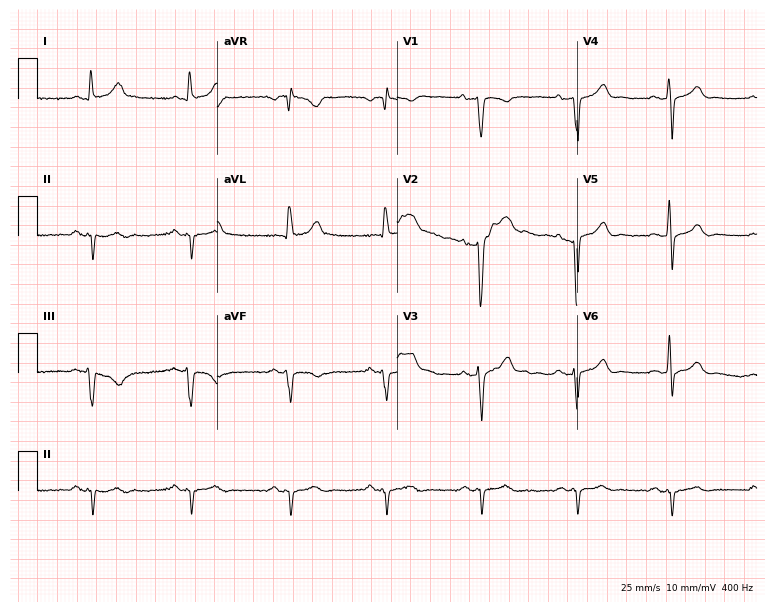
Standard 12-lead ECG recorded from a 37-year-old male (7.3-second recording at 400 Hz). None of these six findings is recorded: first-degree AV block, right bundle branch block, left bundle branch block, sinus bradycardia, atrial fibrillation, sinus tachycardia.